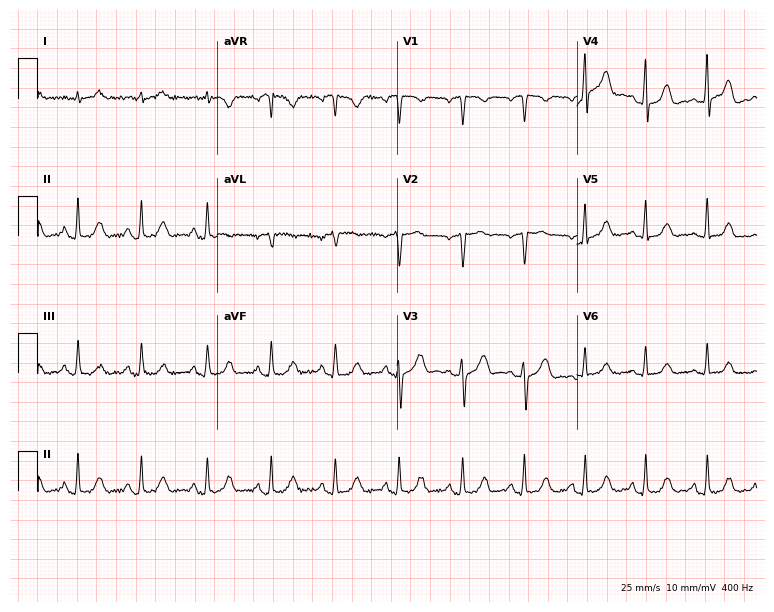
12-lead ECG from a female, 38 years old. Screened for six findings — first-degree AV block, right bundle branch block, left bundle branch block, sinus bradycardia, atrial fibrillation, sinus tachycardia — none is recorded. Only these six findings were labelled.